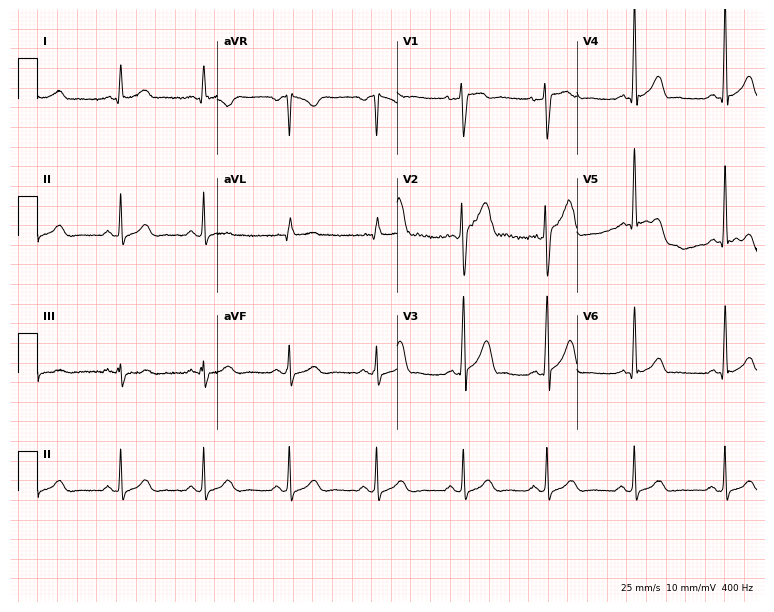
Standard 12-lead ECG recorded from a 46-year-old male patient (7.3-second recording at 400 Hz). None of these six findings is recorded: first-degree AV block, right bundle branch block, left bundle branch block, sinus bradycardia, atrial fibrillation, sinus tachycardia.